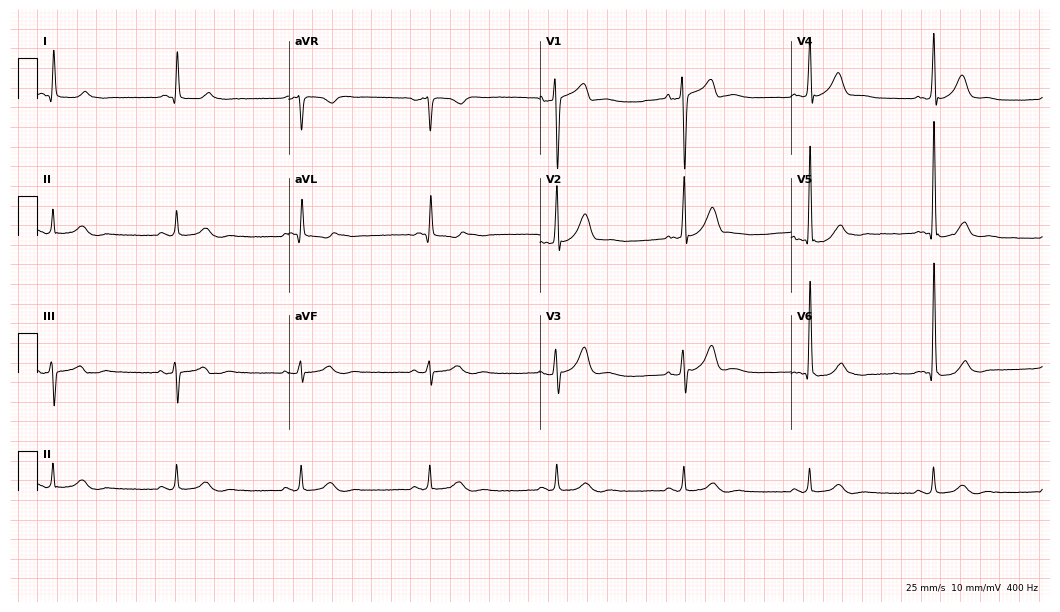
Standard 12-lead ECG recorded from a male patient, 83 years old. The tracing shows sinus bradycardia (a sinus rate of 50 beats per minute or less).